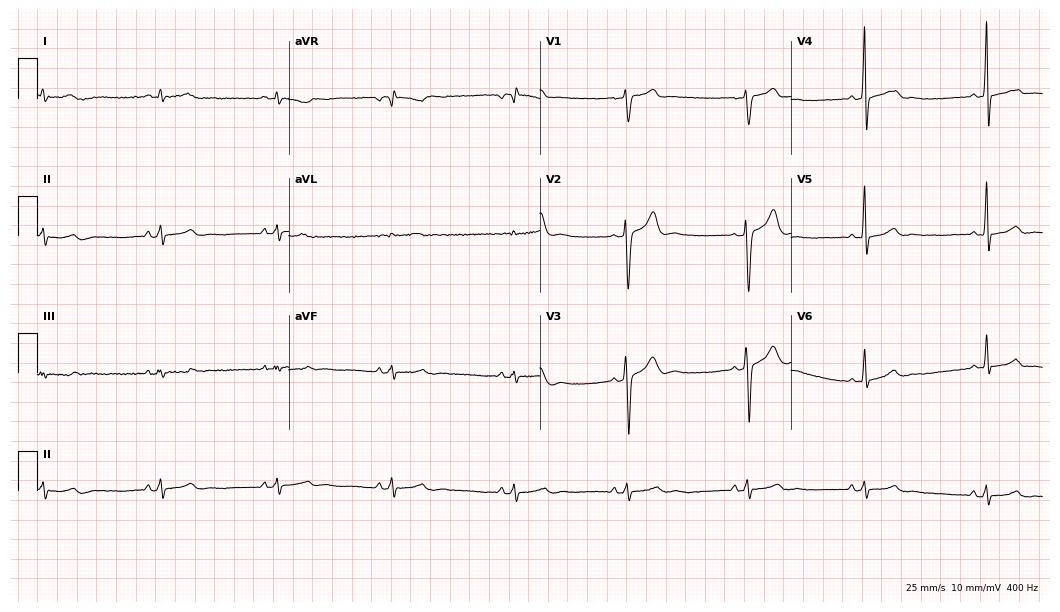
12-lead ECG from a man, 31 years old. Labelled as a normal ECG.